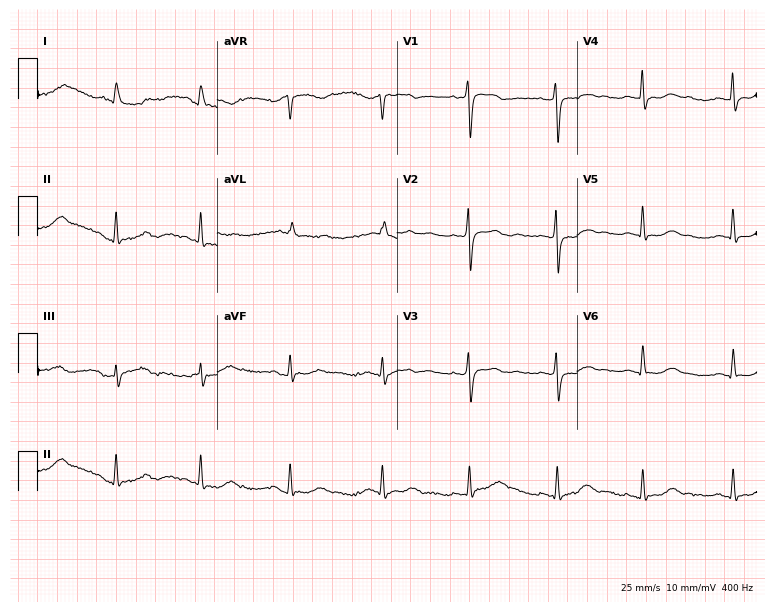
Electrocardiogram, a woman, 71 years old. Of the six screened findings (first-degree AV block, right bundle branch block, left bundle branch block, sinus bradycardia, atrial fibrillation, sinus tachycardia), none is recorded.